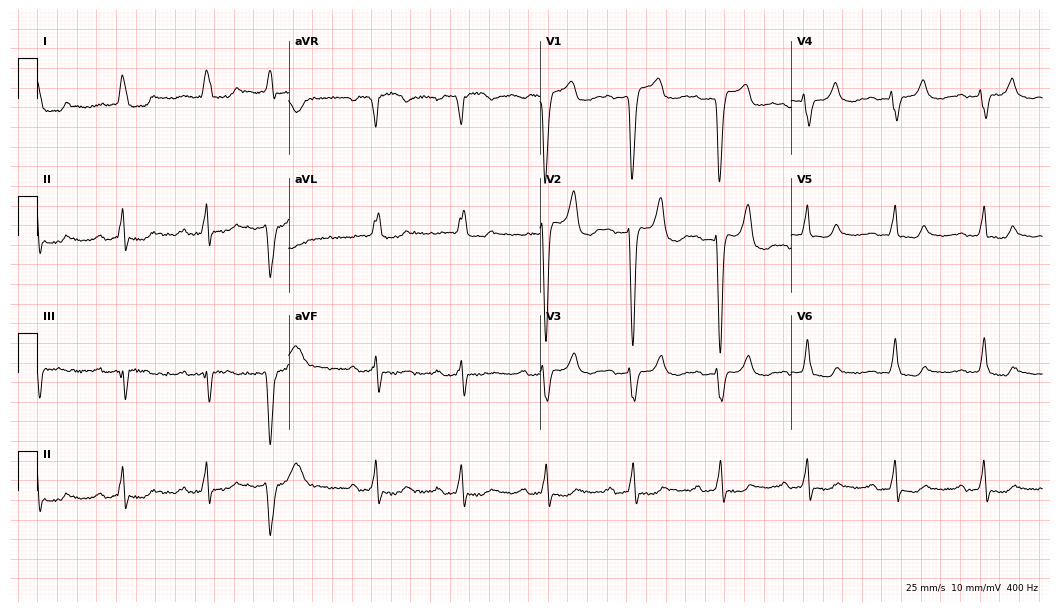
Standard 12-lead ECG recorded from an 83-year-old woman (10.2-second recording at 400 Hz). The tracing shows first-degree AV block, left bundle branch block.